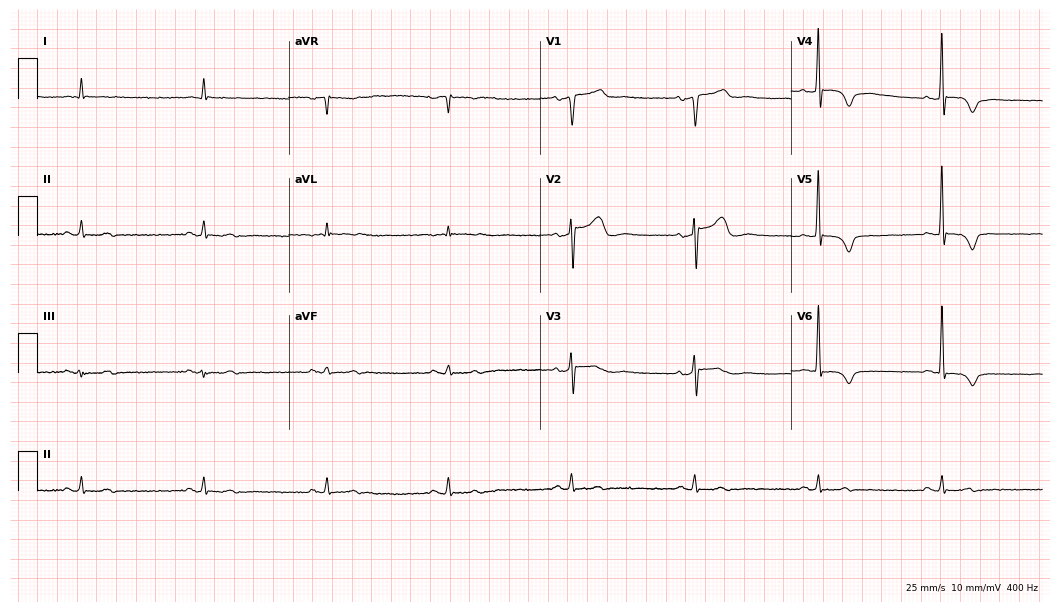
Resting 12-lead electrocardiogram. Patient: a male, 74 years old. The tracing shows sinus bradycardia (a sinus rate of 50 beats per minute or less).